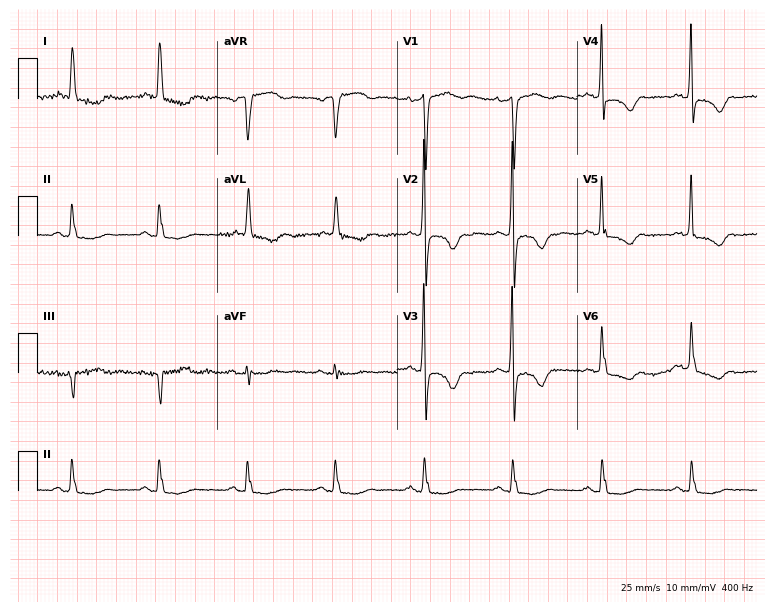
12-lead ECG from a 76-year-old woman (7.3-second recording at 400 Hz). No first-degree AV block, right bundle branch block, left bundle branch block, sinus bradycardia, atrial fibrillation or sinus tachycardia recorded for this tracing. Findings outside these six are not listed.